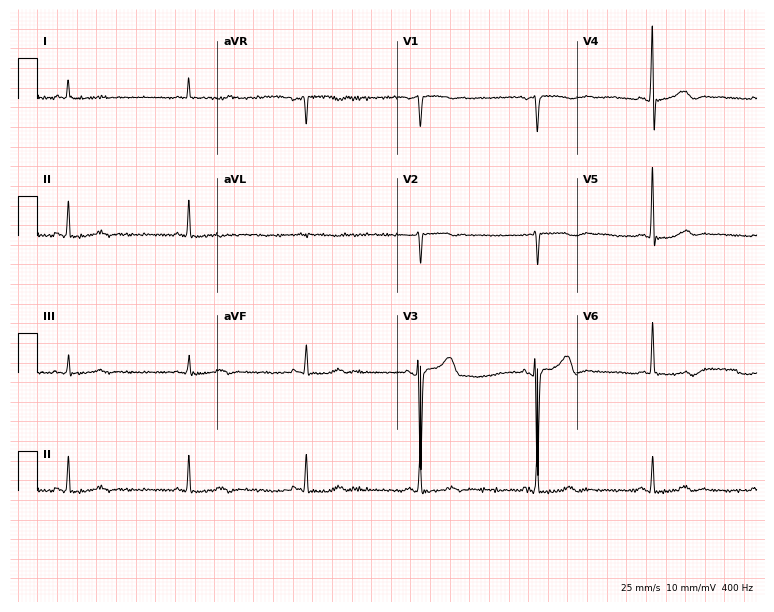
Resting 12-lead electrocardiogram (7.3-second recording at 400 Hz). Patient: a 57-year-old male. None of these six findings is recorded: first-degree AV block, right bundle branch block, left bundle branch block, sinus bradycardia, atrial fibrillation, sinus tachycardia. Other findings, if any, are not listed.